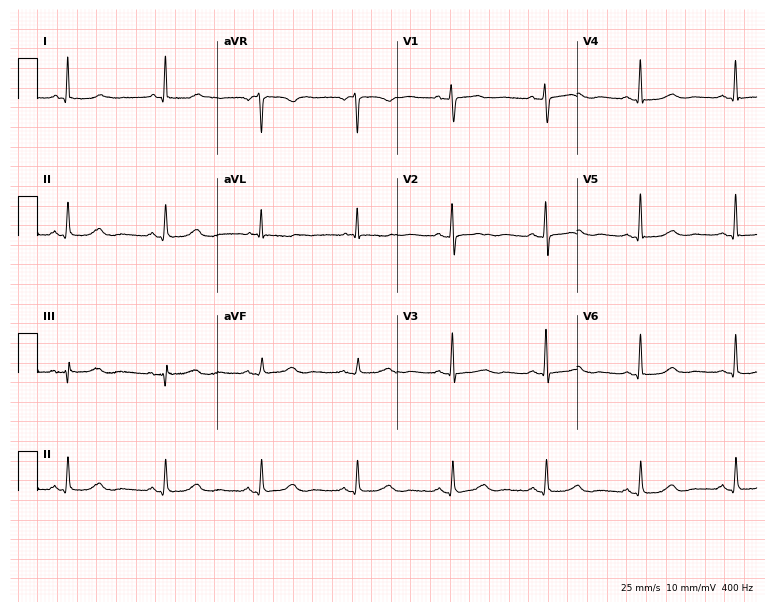
Standard 12-lead ECG recorded from a 79-year-old female patient (7.3-second recording at 400 Hz). None of these six findings is recorded: first-degree AV block, right bundle branch block, left bundle branch block, sinus bradycardia, atrial fibrillation, sinus tachycardia. Findings outside these six are not listed.